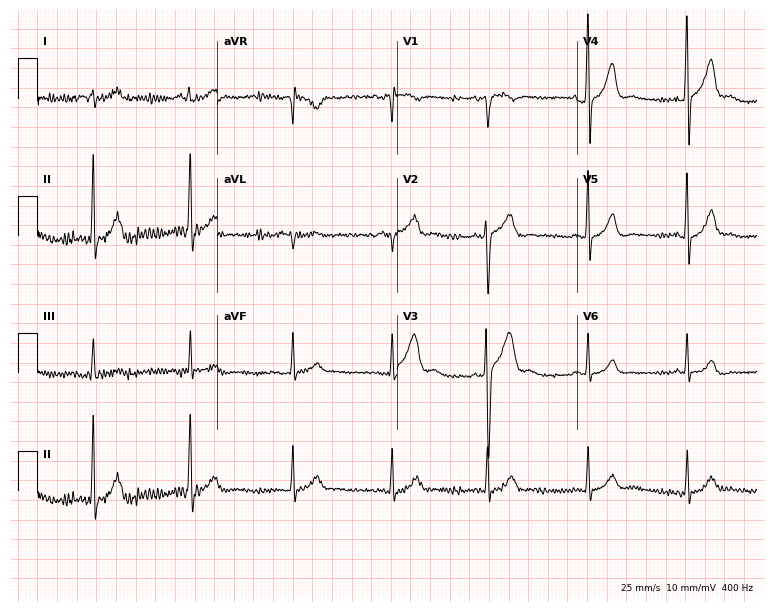
Standard 12-lead ECG recorded from a male patient, 31 years old (7.3-second recording at 400 Hz). Read as a normal ECG.